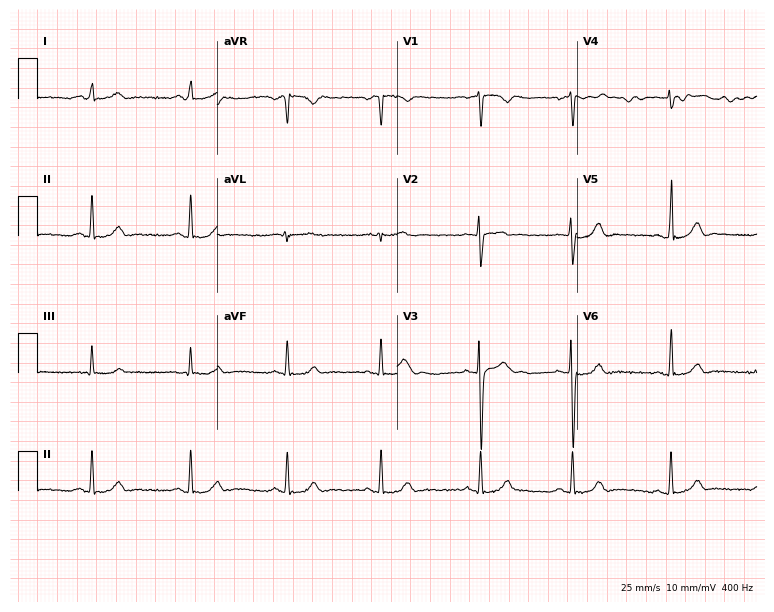
12-lead ECG from a 21-year-old female patient. Recorded interpretation: within normal limits.